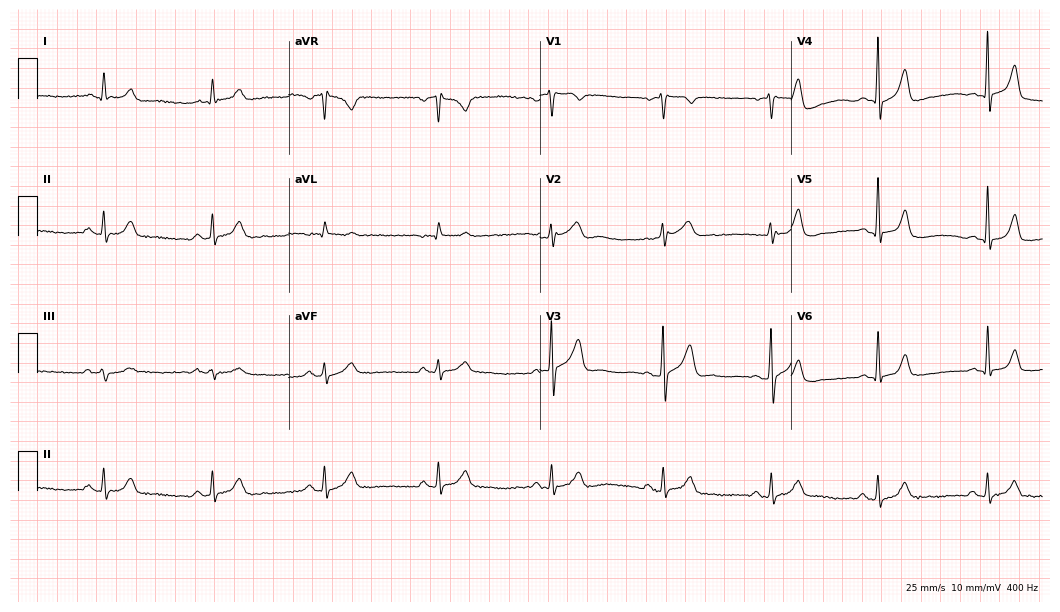
Resting 12-lead electrocardiogram (10.2-second recording at 400 Hz). Patient: a 40-year-old male. Read as a normal ECG.